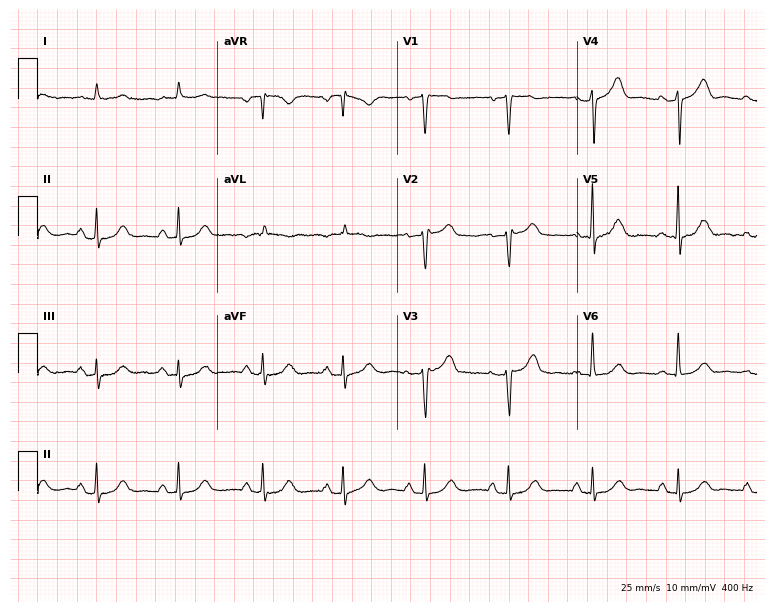
Standard 12-lead ECG recorded from a 62-year-old woman. Read as a normal ECG.